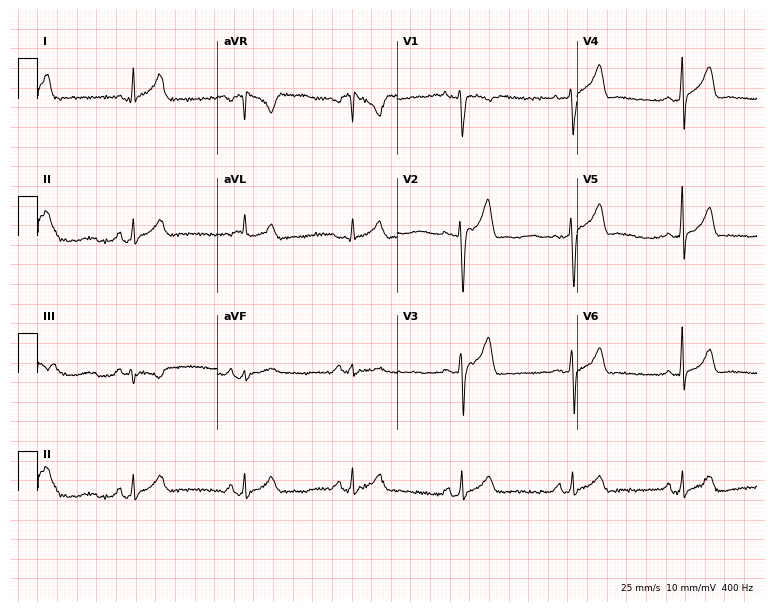
12-lead ECG from a 33-year-old male (7.3-second recording at 400 Hz). Recorded interpretation: within normal limits.